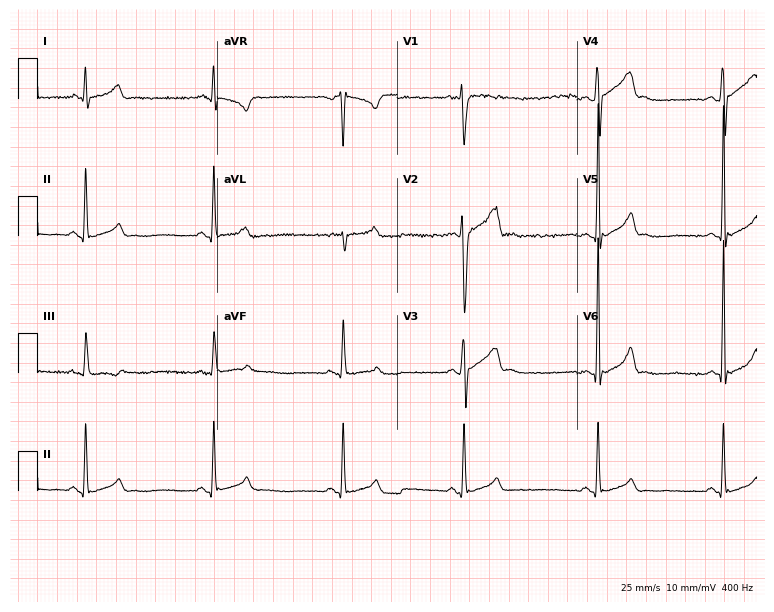
12-lead ECG (7.3-second recording at 400 Hz) from a male patient, 22 years old. Findings include sinus bradycardia (a sinus rate of 50 beats per minute or less).